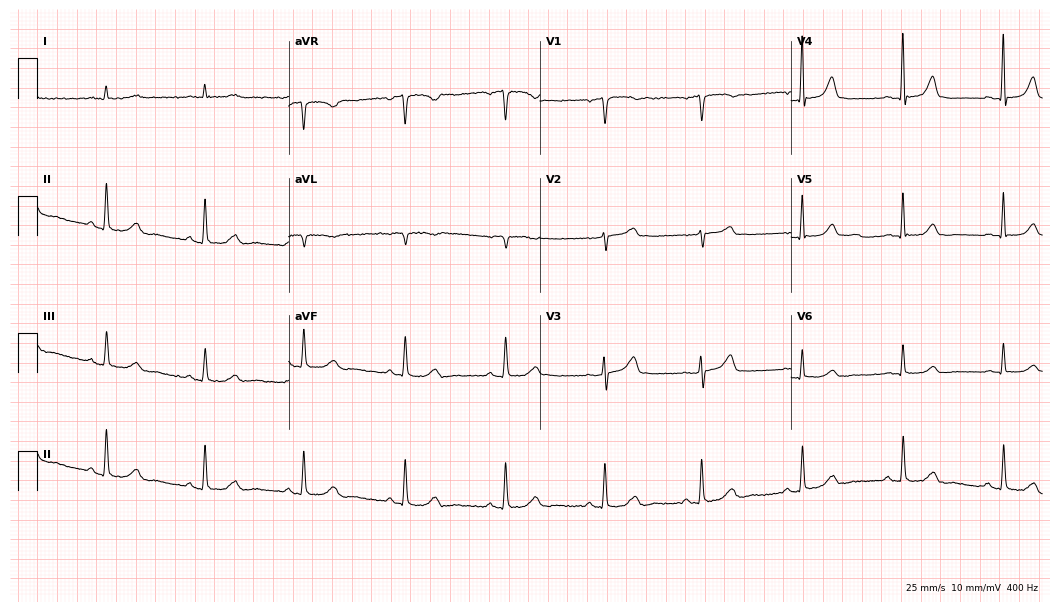
Resting 12-lead electrocardiogram. Patient: a man, 75 years old. None of these six findings is recorded: first-degree AV block, right bundle branch block, left bundle branch block, sinus bradycardia, atrial fibrillation, sinus tachycardia. Findings outside these six are not listed.